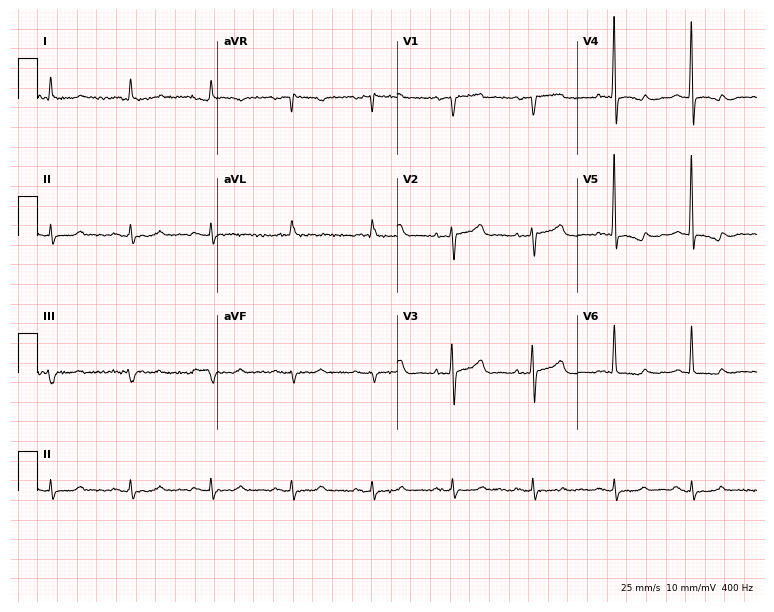
12-lead ECG from a 79-year-old male patient (7.3-second recording at 400 Hz). Recorded interpretation: within normal limits.